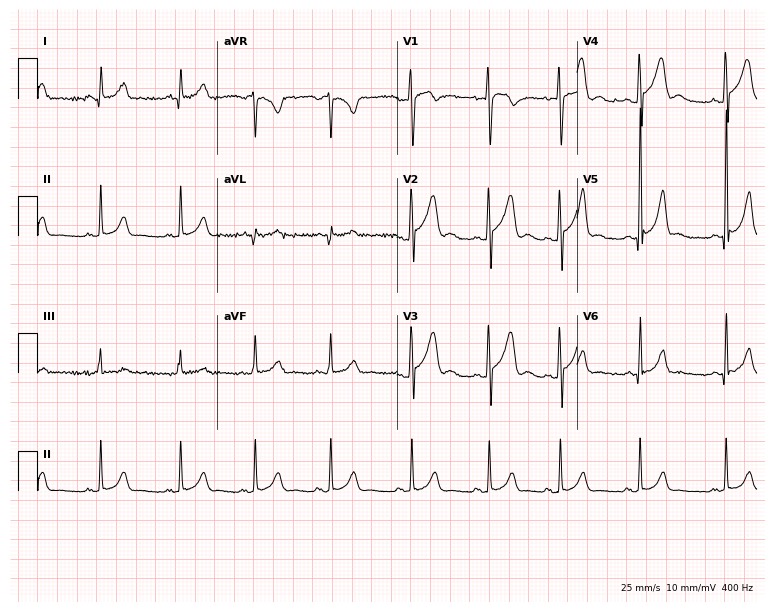
ECG — a male patient, 19 years old. Screened for six findings — first-degree AV block, right bundle branch block, left bundle branch block, sinus bradycardia, atrial fibrillation, sinus tachycardia — none is recorded. Other findings, if any, are not listed.